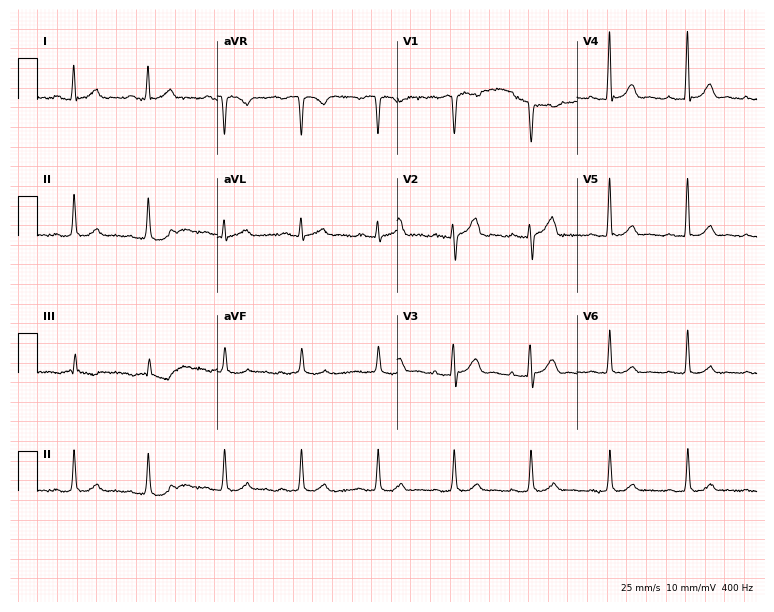
Electrocardiogram (7.3-second recording at 400 Hz), a 46-year-old man. Of the six screened findings (first-degree AV block, right bundle branch block, left bundle branch block, sinus bradycardia, atrial fibrillation, sinus tachycardia), none is recorded.